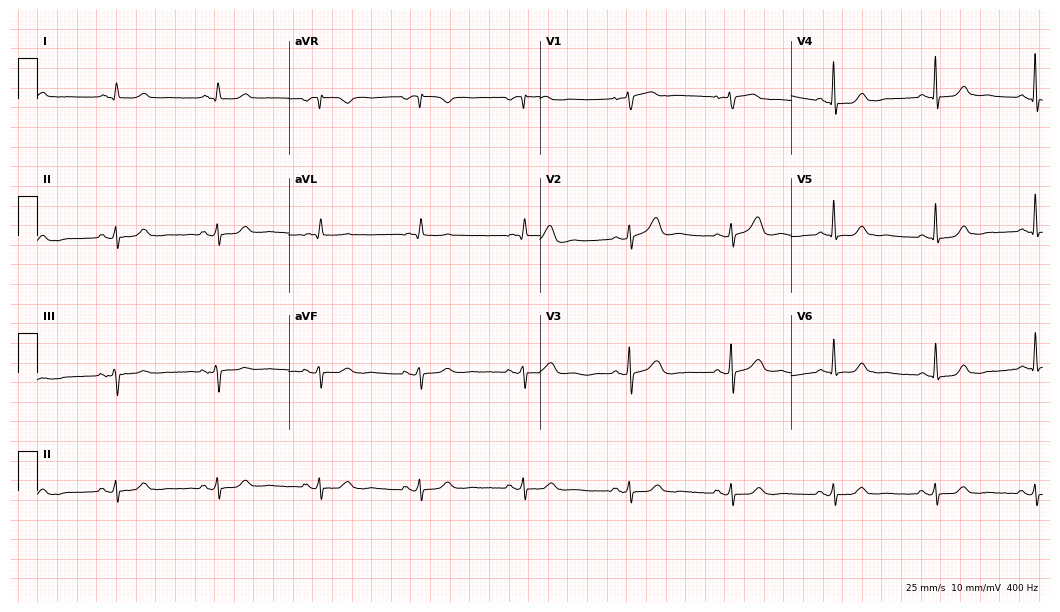
Resting 12-lead electrocardiogram. Patient: a female, 54 years old. Read as a normal ECG.